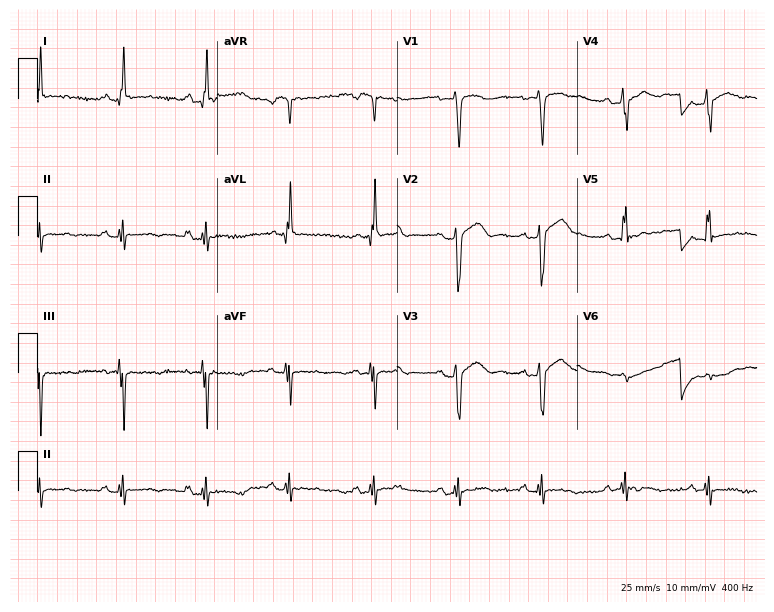
12-lead ECG (7.3-second recording at 400 Hz) from a man, 38 years old. Screened for six findings — first-degree AV block, right bundle branch block, left bundle branch block, sinus bradycardia, atrial fibrillation, sinus tachycardia — none is recorded. Other findings, if any, are not listed.